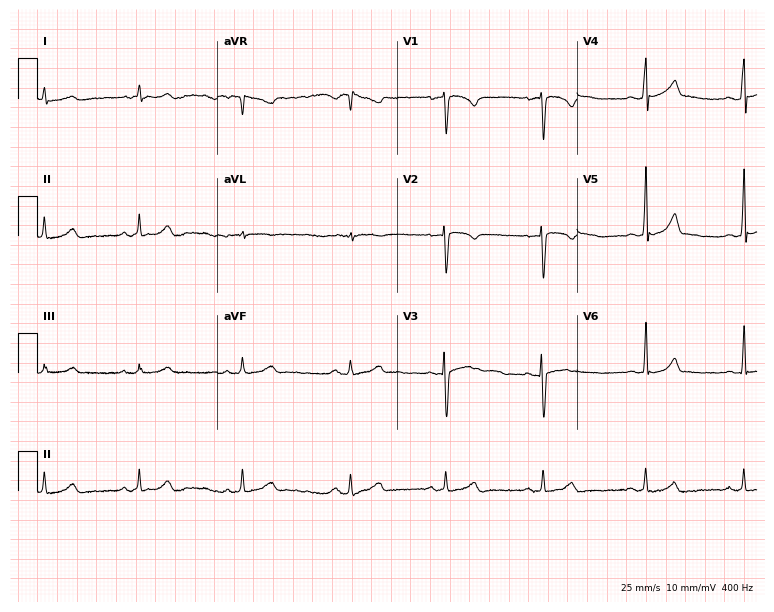
12-lead ECG (7.3-second recording at 400 Hz) from a female patient, 24 years old. Screened for six findings — first-degree AV block, right bundle branch block (RBBB), left bundle branch block (LBBB), sinus bradycardia, atrial fibrillation (AF), sinus tachycardia — none is recorded. Other findings, if any, are not listed.